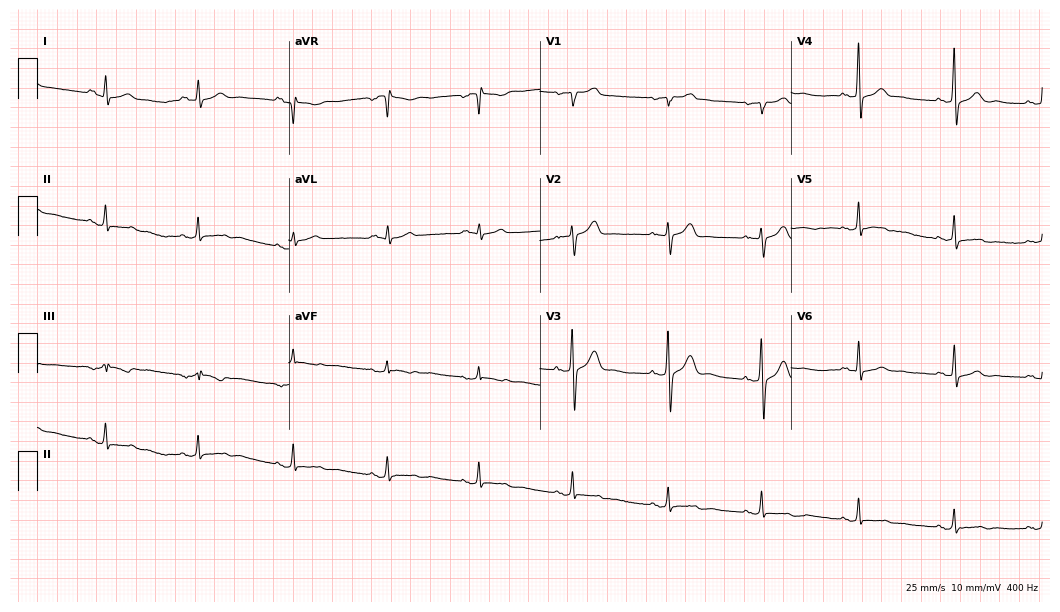
ECG — a male patient, 46 years old. Screened for six findings — first-degree AV block, right bundle branch block, left bundle branch block, sinus bradycardia, atrial fibrillation, sinus tachycardia — none is recorded.